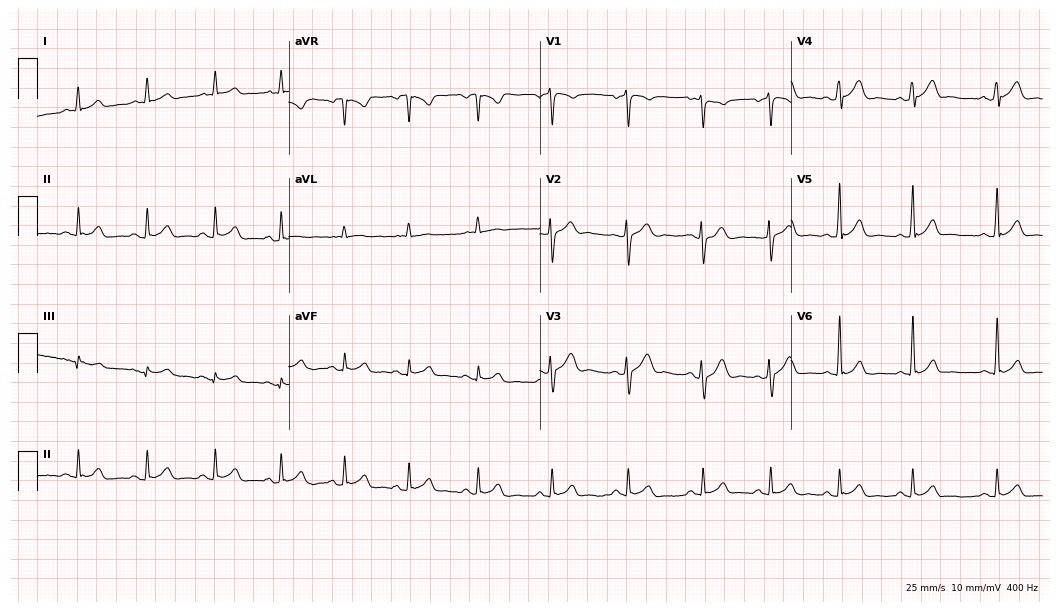
12-lead ECG (10.2-second recording at 400 Hz) from a male, 30 years old. Labelled as a normal ECG.